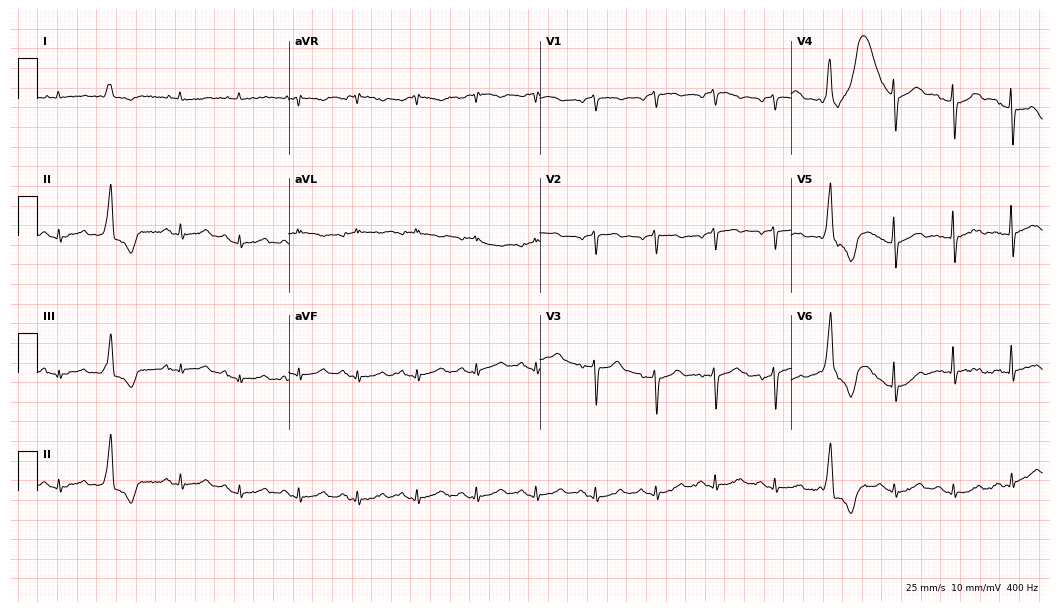
12-lead ECG from a male patient, 73 years old. No first-degree AV block, right bundle branch block (RBBB), left bundle branch block (LBBB), sinus bradycardia, atrial fibrillation (AF) or sinus tachycardia recorded for this tracing. Only these six findings were labelled.